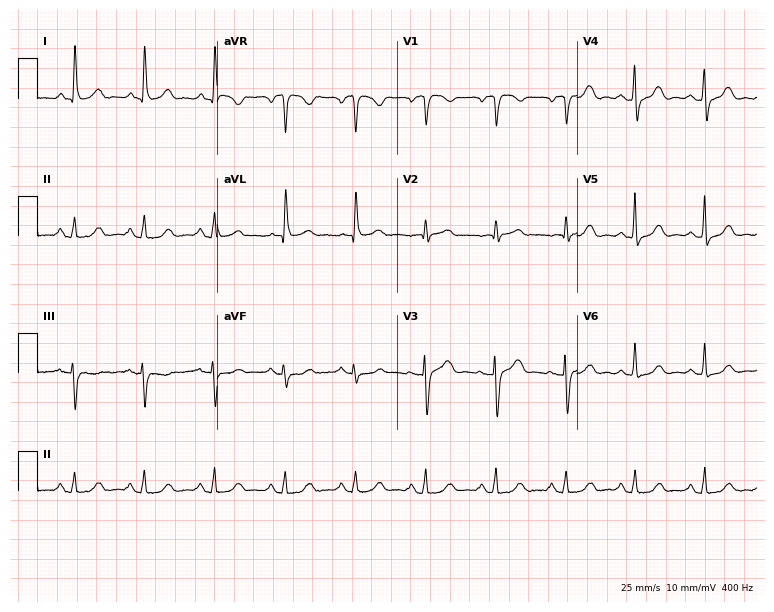
Resting 12-lead electrocardiogram (7.3-second recording at 400 Hz). Patient: a 75-year-old woman. None of these six findings is recorded: first-degree AV block, right bundle branch block, left bundle branch block, sinus bradycardia, atrial fibrillation, sinus tachycardia.